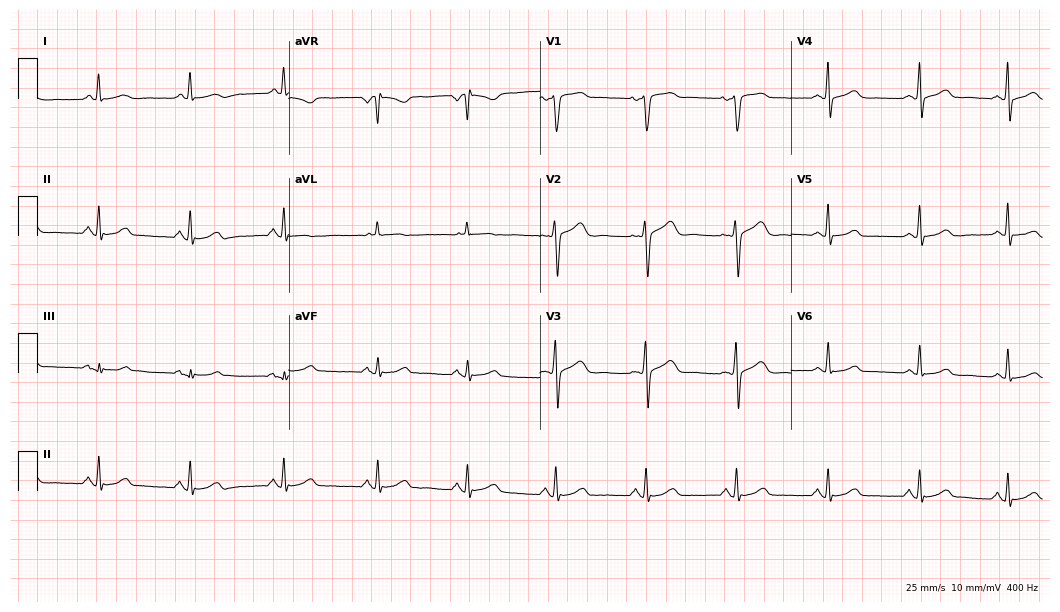
Resting 12-lead electrocardiogram. Patient: a 51-year-old female. None of these six findings is recorded: first-degree AV block, right bundle branch block, left bundle branch block, sinus bradycardia, atrial fibrillation, sinus tachycardia.